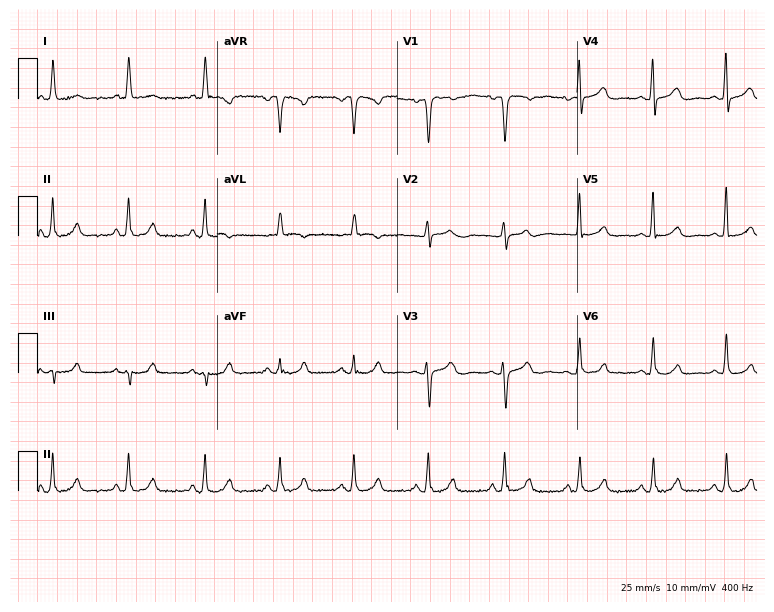
12-lead ECG from a 70-year-old female patient (7.3-second recording at 400 Hz). No first-degree AV block, right bundle branch block, left bundle branch block, sinus bradycardia, atrial fibrillation or sinus tachycardia recorded for this tracing. Other findings, if any, are not listed.